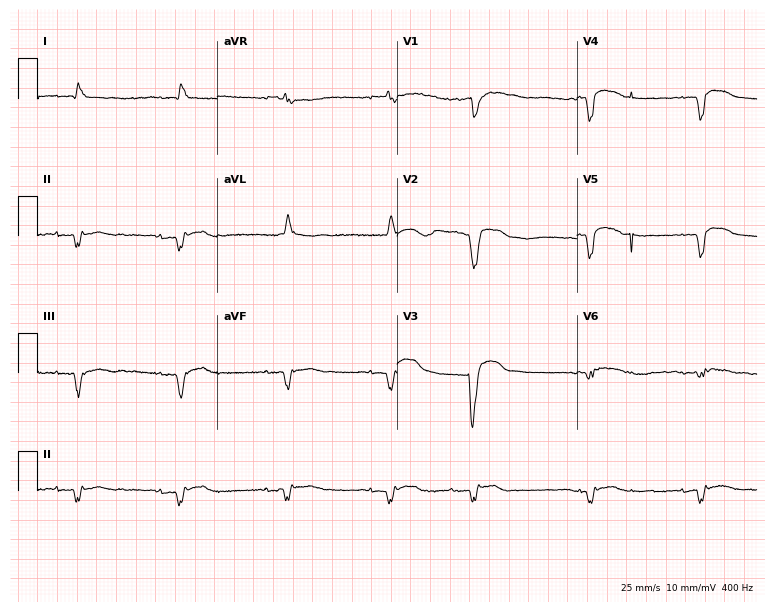
Resting 12-lead electrocardiogram (7.3-second recording at 400 Hz). Patient: a 69-year-old female. The tracing shows left bundle branch block.